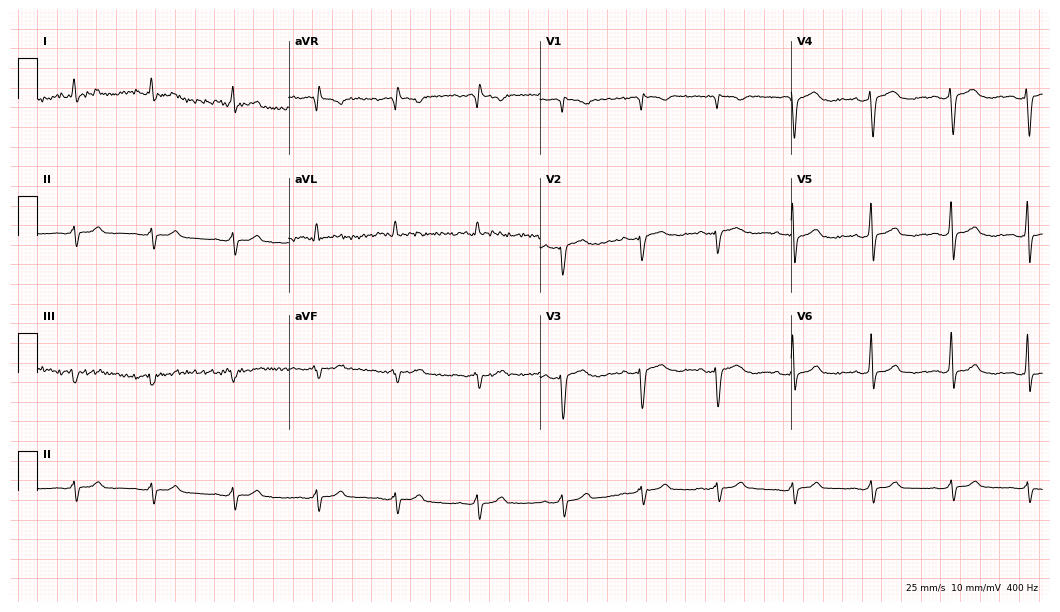
Electrocardiogram, a 32-year-old woman. Of the six screened findings (first-degree AV block, right bundle branch block (RBBB), left bundle branch block (LBBB), sinus bradycardia, atrial fibrillation (AF), sinus tachycardia), none is recorded.